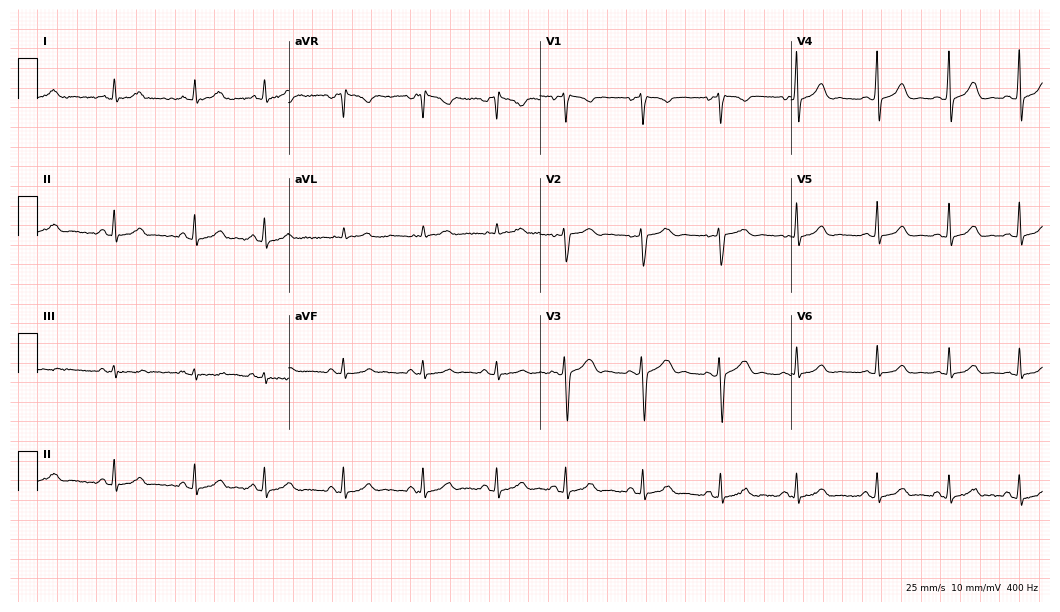
Resting 12-lead electrocardiogram (10.2-second recording at 400 Hz). Patient: a 22-year-old woman. Read as a normal ECG.